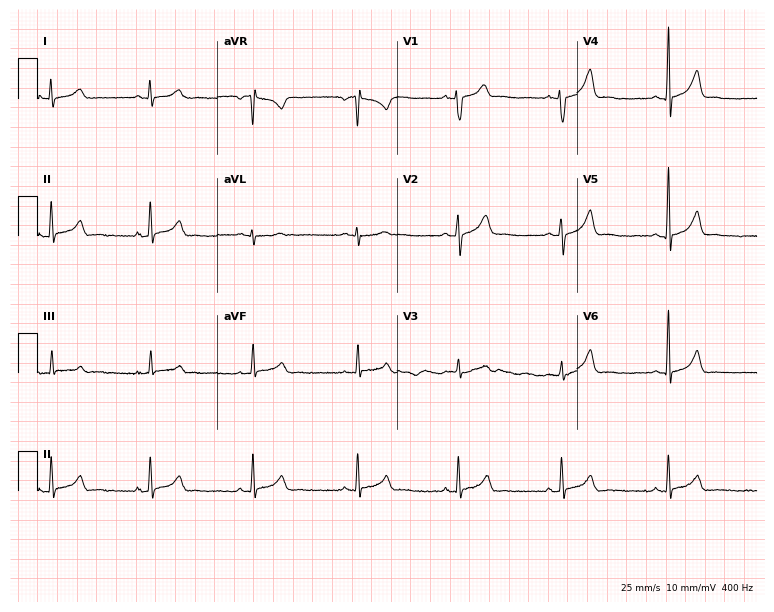
Standard 12-lead ECG recorded from a man, 30 years old (7.3-second recording at 400 Hz). Read as a normal ECG.